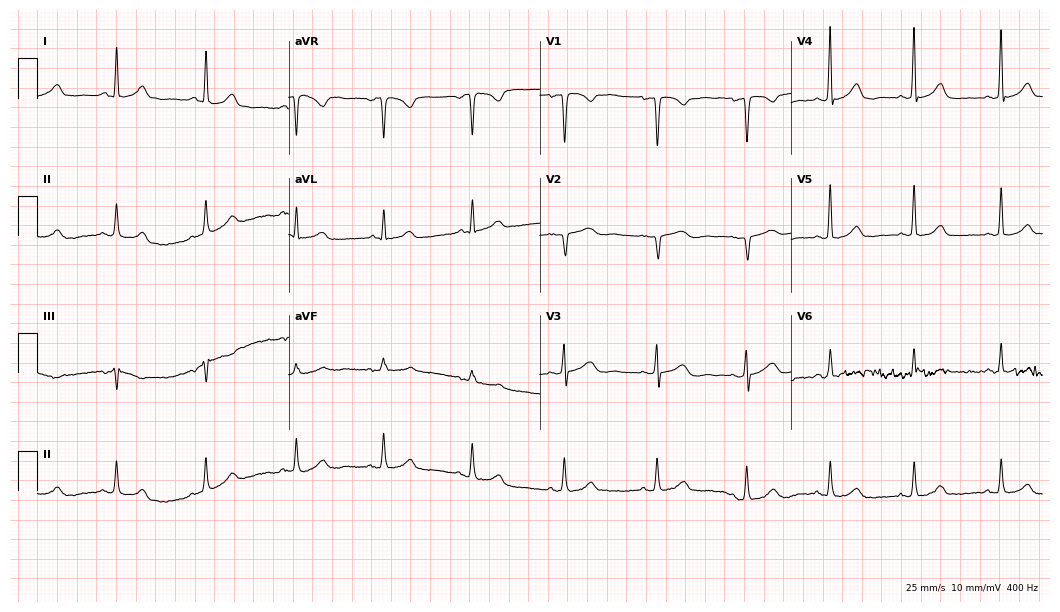
12-lead ECG from a 46-year-old female. Screened for six findings — first-degree AV block, right bundle branch block (RBBB), left bundle branch block (LBBB), sinus bradycardia, atrial fibrillation (AF), sinus tachycardia — none is recorded.